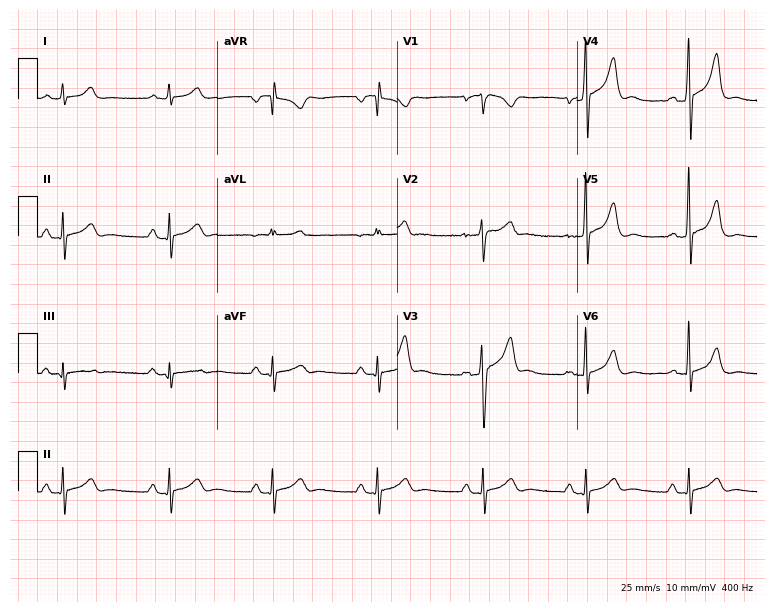
ECG (7.3-second recording at 400 Hz) — a male, 48 years old. Labelled as a normal ECG.